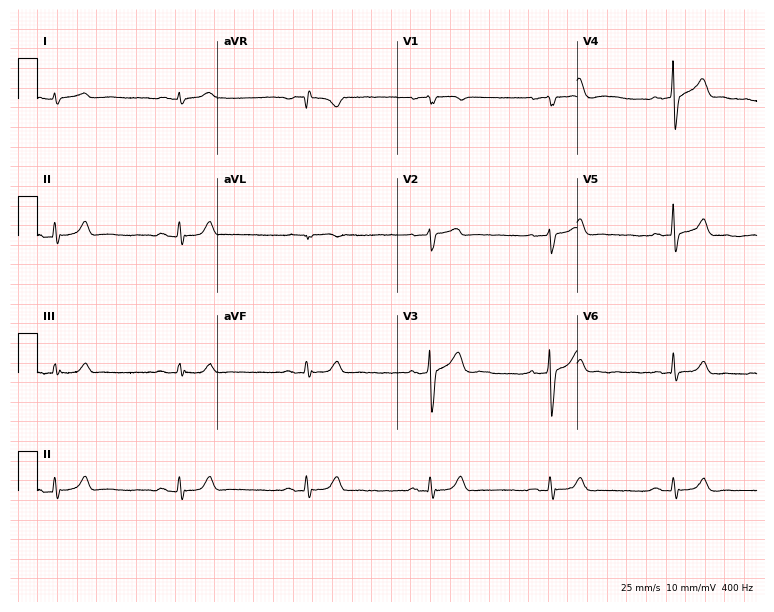
Standard 12-lead ECG recorded from a male patient, 54 years old. Read as a normal ECG.